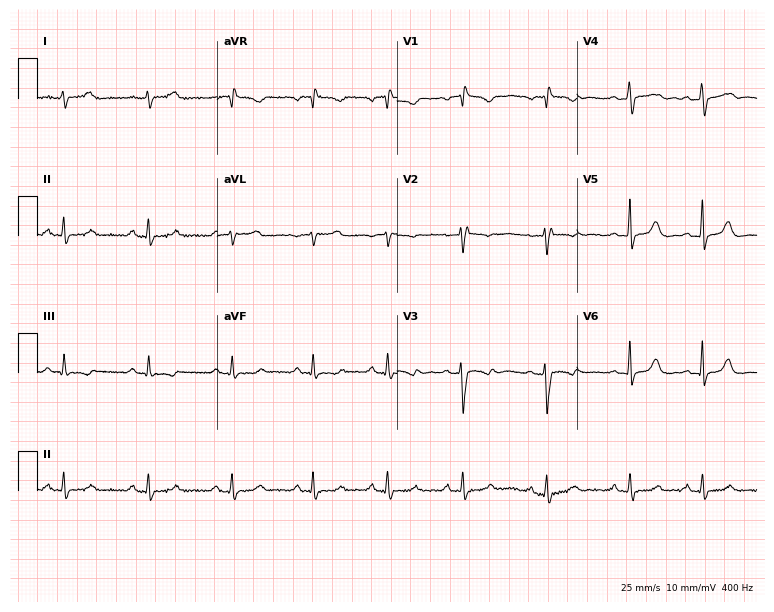
Standard 12-lead ECG recorded from a woman, 26 years old. None of these six findings is recorded: first-degree AV block, right bundle branch block, left bundle branch block, sinus bradycardia, atrial fibrillation, sinus tachycardia. Findings outside these six are not listed.